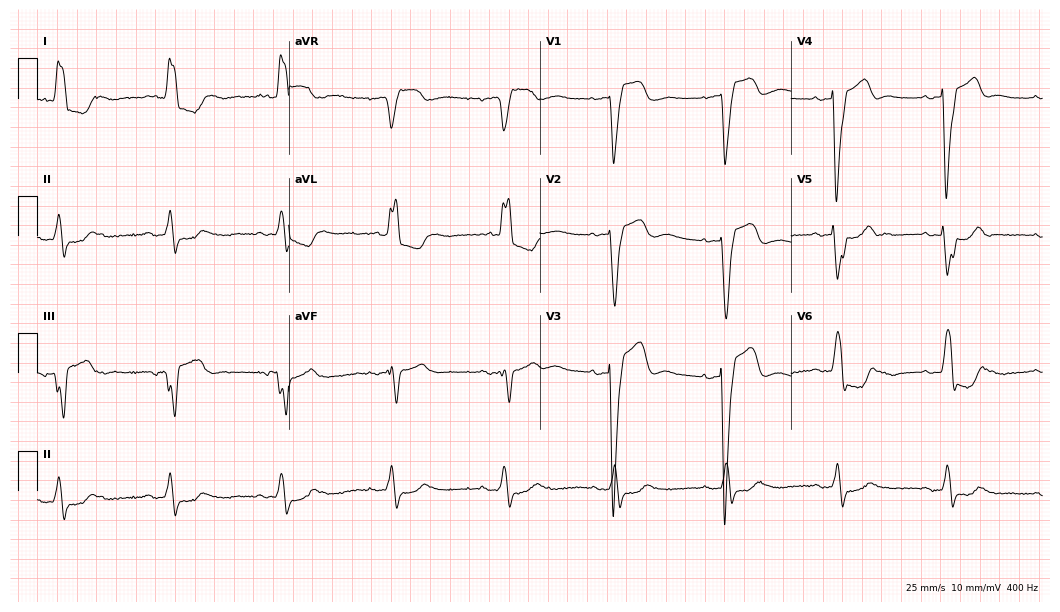
12-lead ECG (10.2-second recording at 400 Hz) from an 82-year-old female patient. Findings include left bundle branch block.